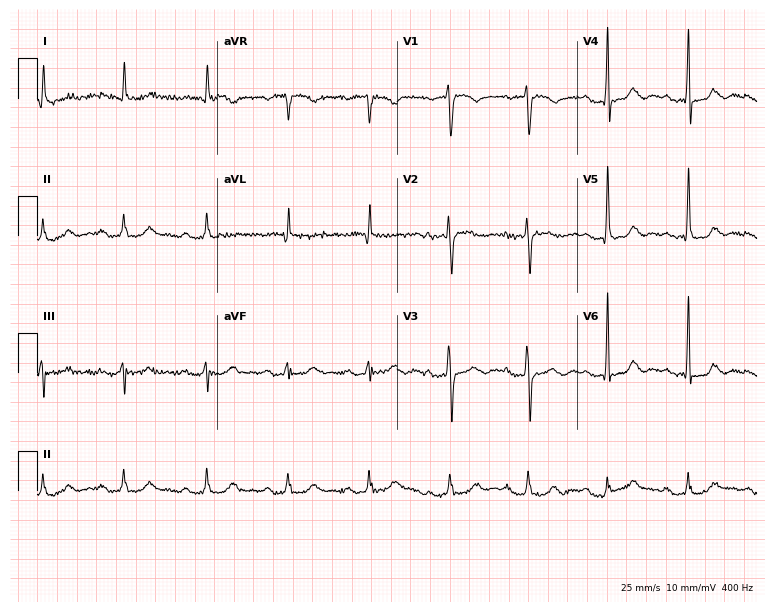
12-lead ECG from an 85-year-old male patient. Labelled as a normal ECG.